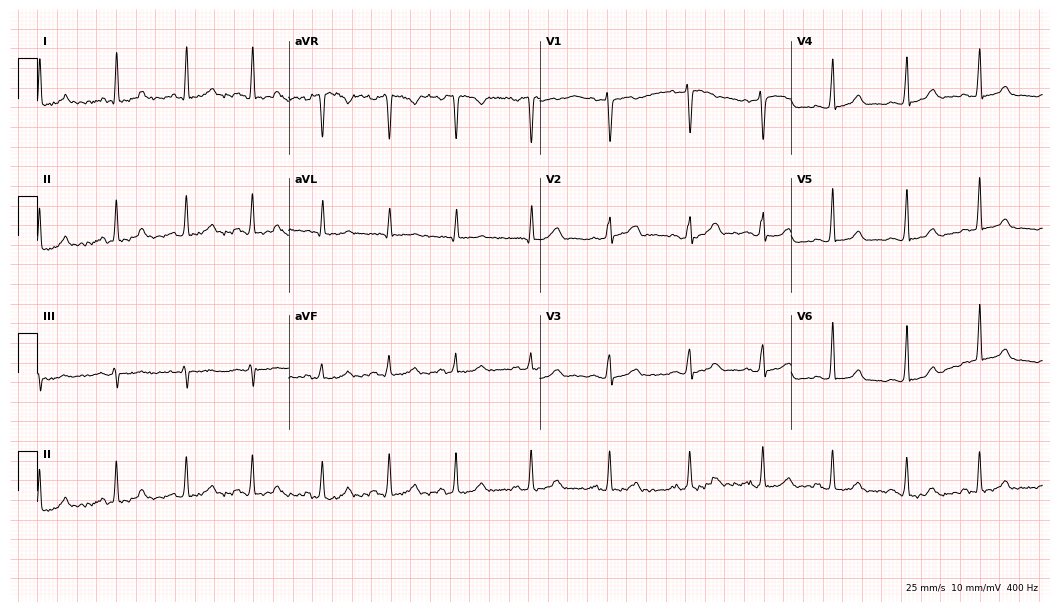
Standard 12-lead ECG recorded from a 32-year-old female. Read as a normal ECG.